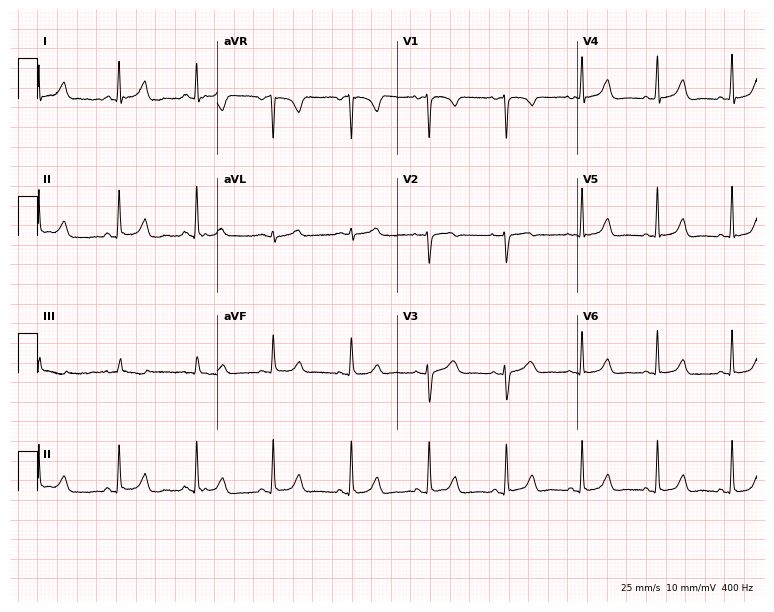
Electrocardiogram (7.3-second recording at 400 Hz), a female patient, 44 years old. Overall reading on record: normal ECG.